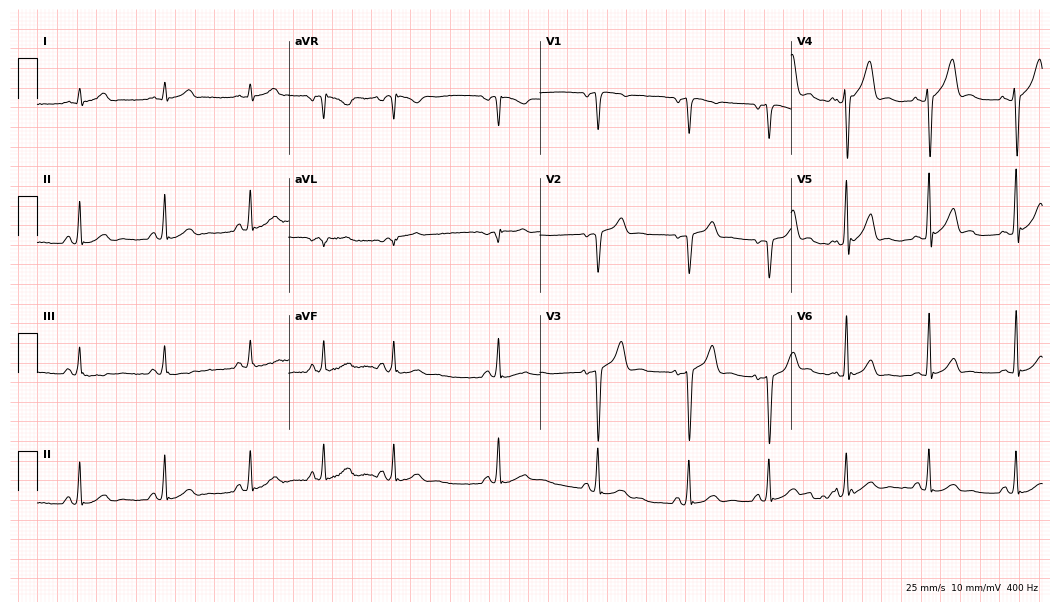
ECG — a 31-year-old male. Screened for six findings — first-degree AV block, right bundle branch block, left bundle branch block, sinus bradycardia, atrial fibrillation, sinus tachycardia — none is recorded. Findings outside these six are not listed.